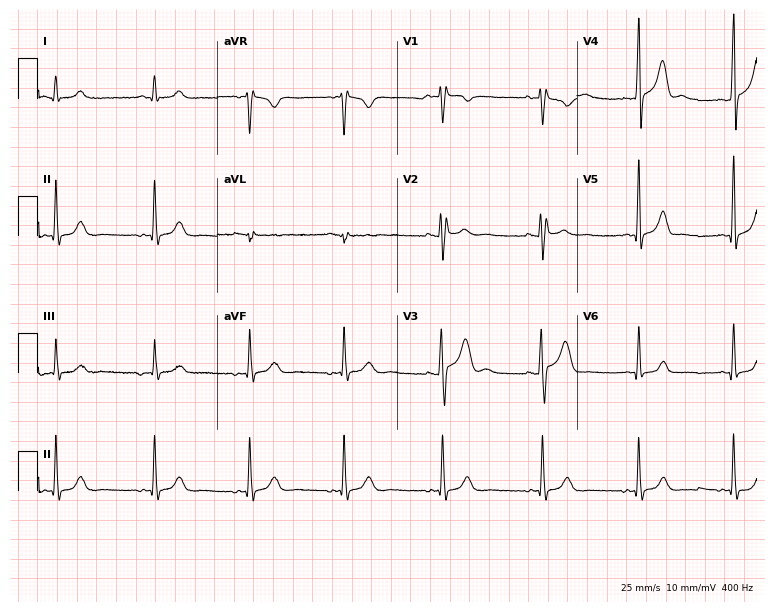
Electrocardiogram, a man, 31 years old. Of the six screened findings (first-degree AV block, right bundle branch block, left bundle branch block, sinus bradycardia, atrial fibrillation, sinus tachycardia), none is recorded. Only these six findings were labelled.